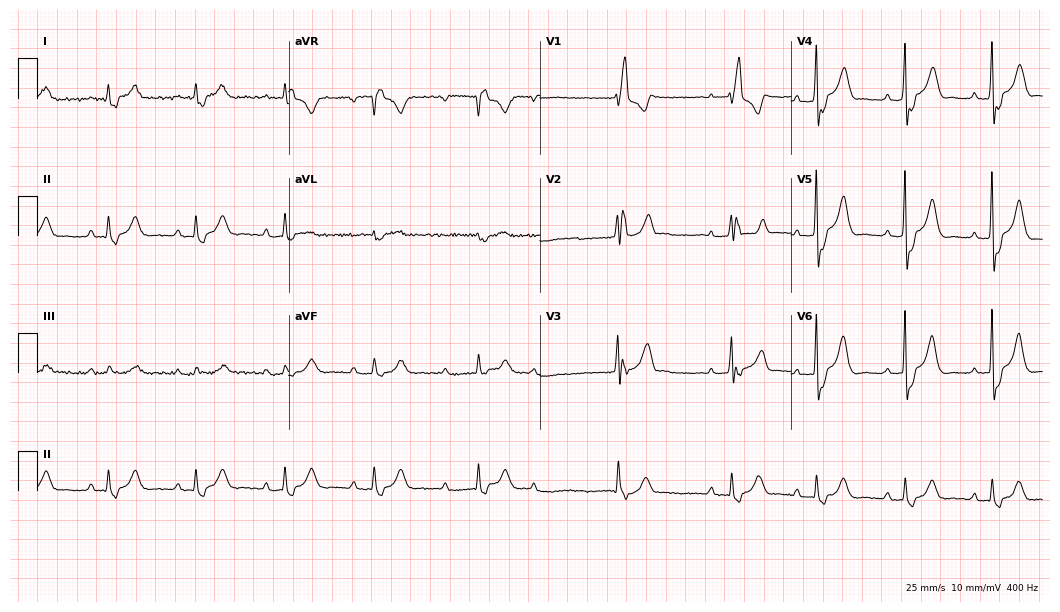
Standard 12-lead ECG recorded from a 67-year-old man (10.2-second recording at 400 Hz). The tracing shows first-degree AV block, right bundle branch block.